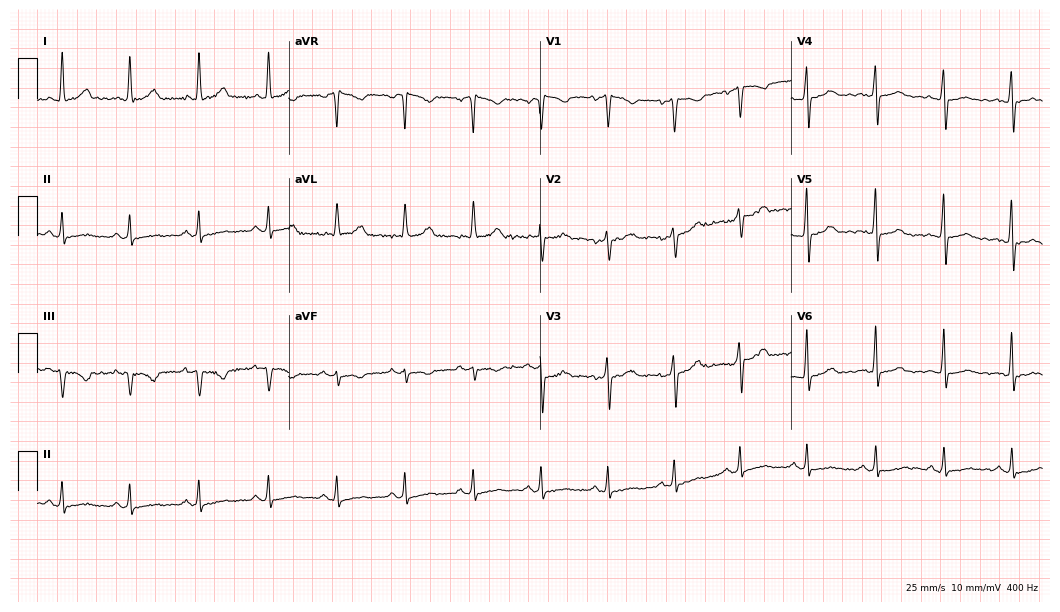
12-lead ECG from a woman, 41 years old. No first-degree AV block, right bundle branch block, left bundle branch block, sinus bradycardia, atrial fibrillation or sinus tachycardia recorded for this tracing.